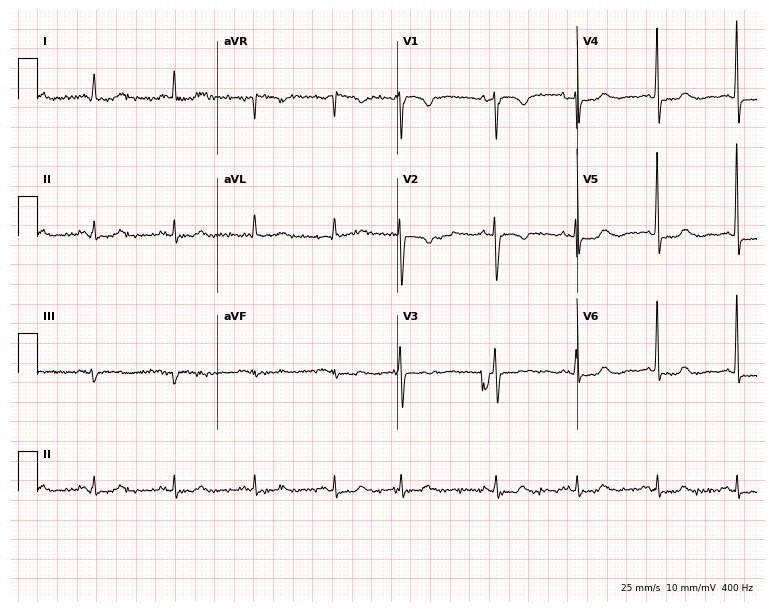
Resting 12-lead electrocardiogram (7.3-second recording at 400 Hz). Patient: an 82-year-old female. None of these six findings is recorded: first-degree AV block, right bundle branch block, left bundle branch block, sinus bradycardia, atrial fibrillation, sinus tachycardia. Other findings, if any, are not listed.